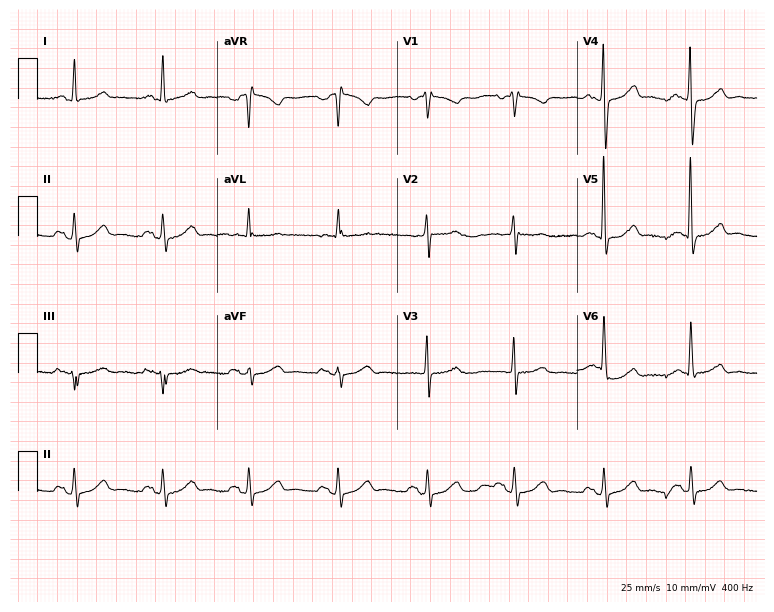
ECG — a 68-year-old woman. Labelled as a normal ECG.